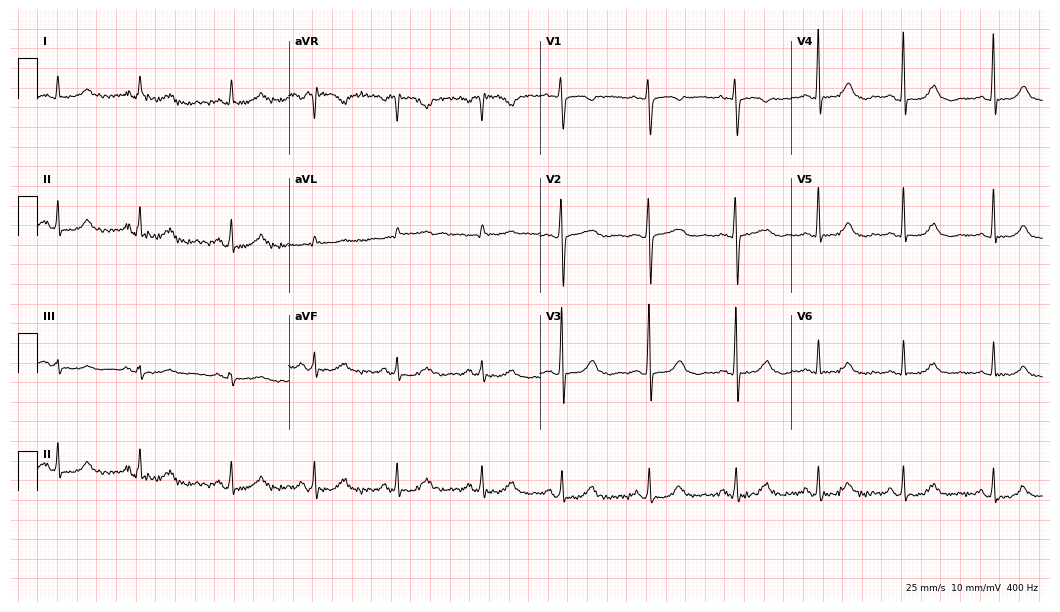
Resting 12-lead electrocardiogram. Patient: a 62-year-old female. None of these six findings is recorded: first-degree AV block, right bundle branch block, left bundle branch block, sinus bradycardia, atrial fibrillation, sinus tachycardia. Other findings, if any, are not listed.